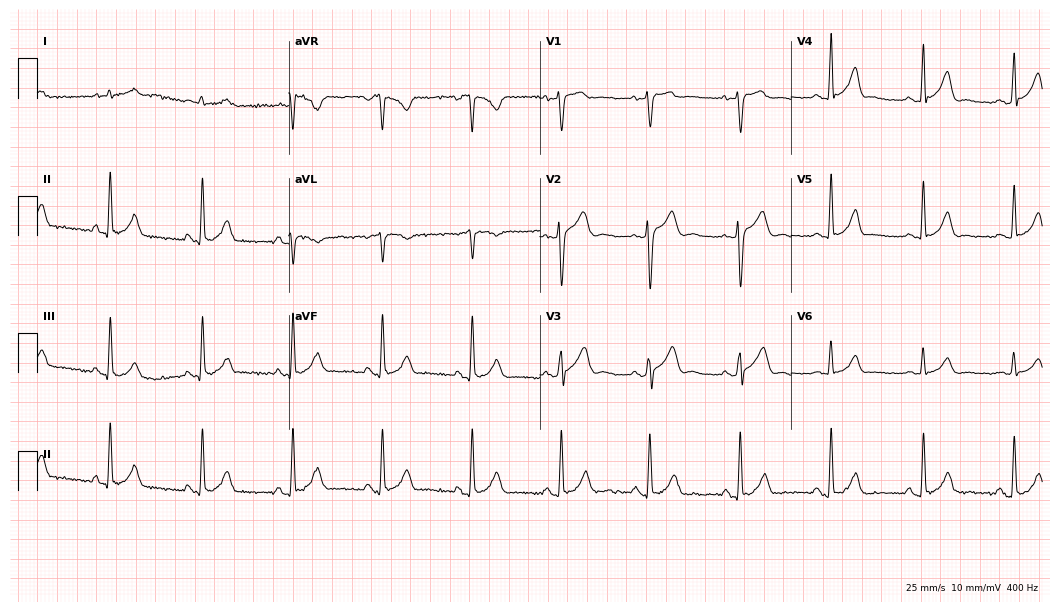
12-lead ECG from a 46-year-old male patient. Recorded interpretation: within normal limits.